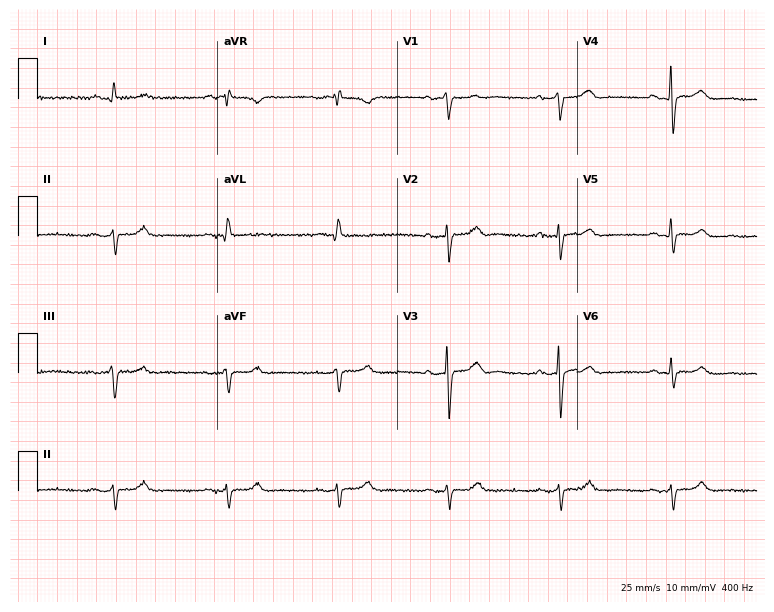
ECG (7.3-second recording at 400 Hz) — a male, 69 years old. Screened for six findings — first-degree AV block, right bundle branch block (RBBB), left bundle branch block (LBBB), sinus bradycardia, atrial fibrillation (AF), sinus tachycardia — none is recorded.